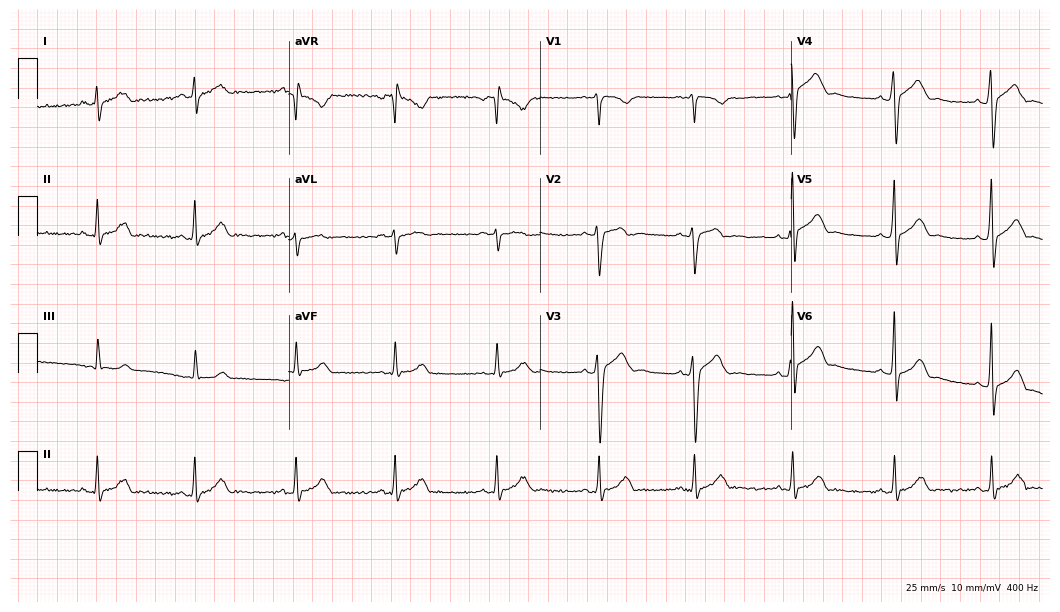
Electrocardiogram (10.2-second recording at 400 Hz), a 21-year-old male patient. Overall reading on record: normal ECG.